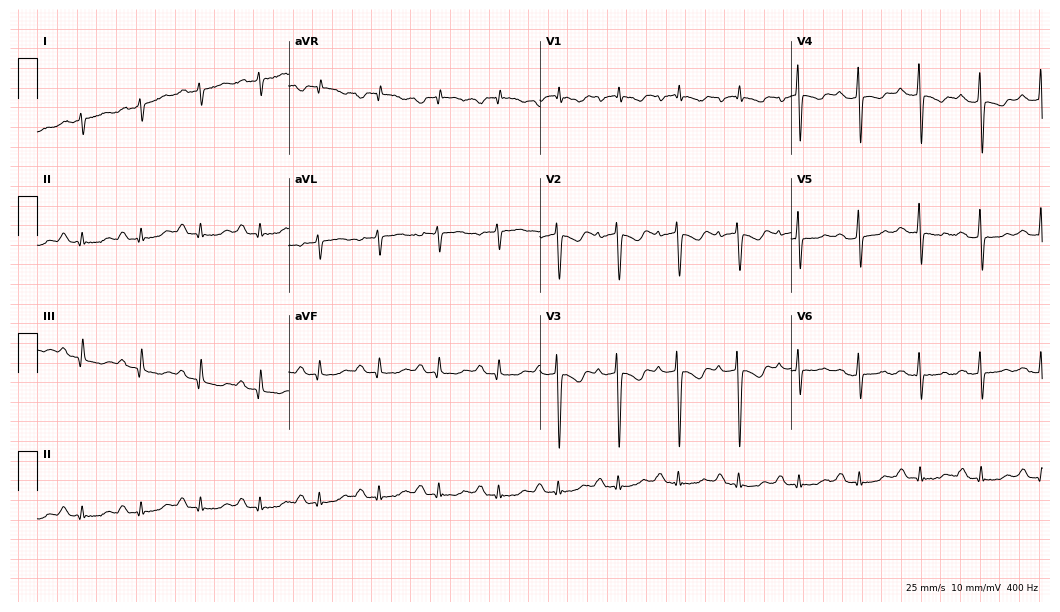
Electrocardiogram, a male, 78 years old. Of the six screened findings (first-degree AV block, right bundle branch block (RBBB), left bundle branch block (LBBB), sinus bradycardia, atrial fibrillation (AF), sinus tachycardia), none is recorded. Only these six findings were labelled.